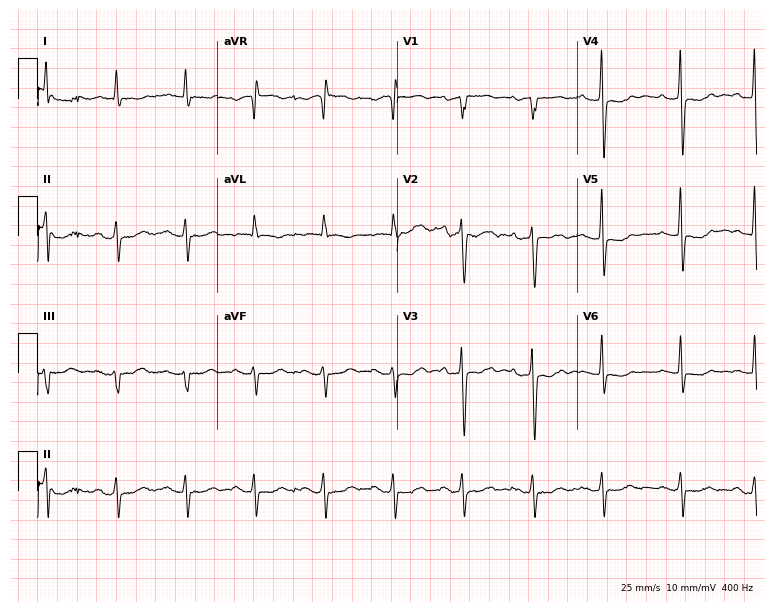
Resting 12-lead electrocardiogram (7.3-second recording at 400 Hz). Patient: a 76-year-old female. None of these six findings is recorded: first-degree AV block, right bundle branch block (RBBB), left bundle branch block (LBBB), sinus bradycardia, atrial fibrillation (AF), sinus tachycardia. Findings outside these six are not listed.